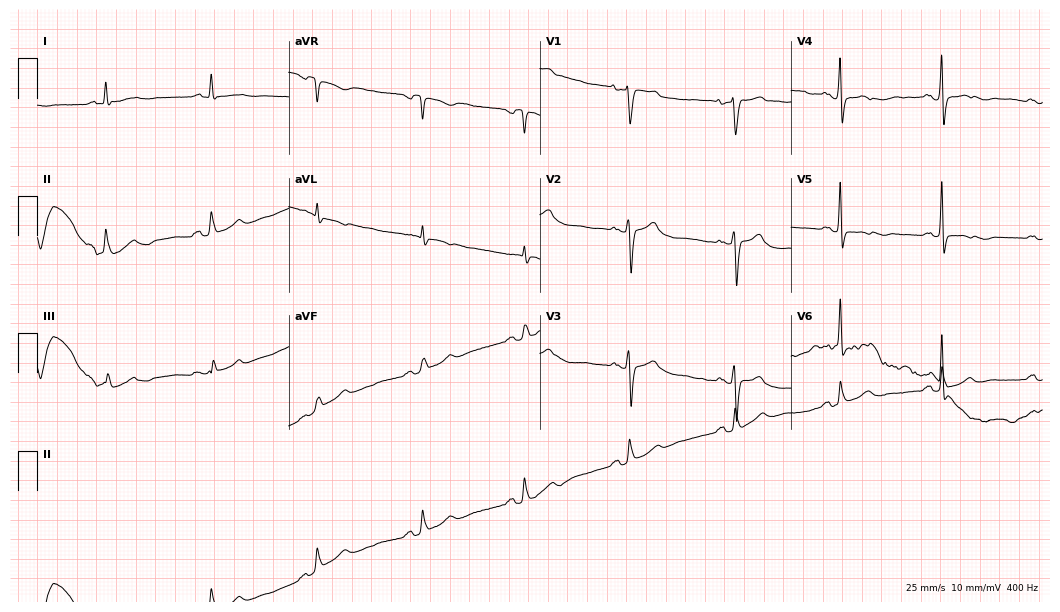
ECG — a woman, 75 years old. Screened for six findings — first-degree AV block, right bundle branch block (RBBB), left bundle branch block (LBBB), sinus bradycardia, atrial fibrillation (AF), sinus tachycardia — none is recorded. Only these six findings were labelled.